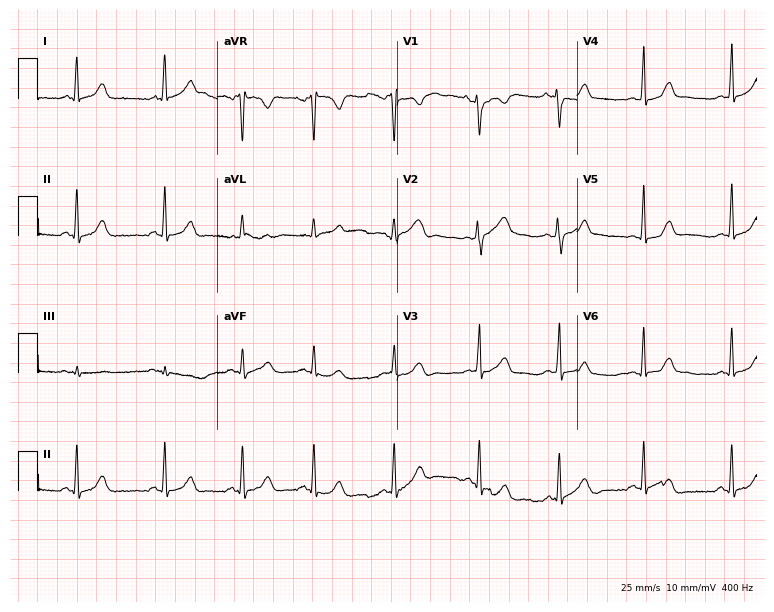
Standard 12-lead ECG recorded from a 19-year-old woman. Read as a normal ECG.